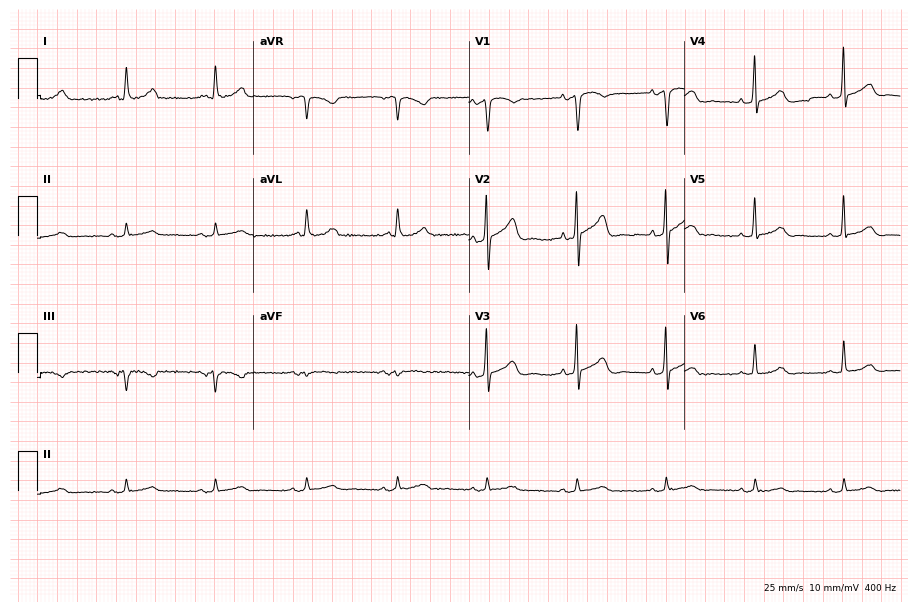
Resting 12-lead electrocardiogram (8.8-second recording at 400 Hz). Patient: a male, 68 years old. None of these six findings is recorded: first-degree AV block, right bundle branch block, left bundle branch block, sinus bradycardia, atrial fibrillation, sinus tachycardia.